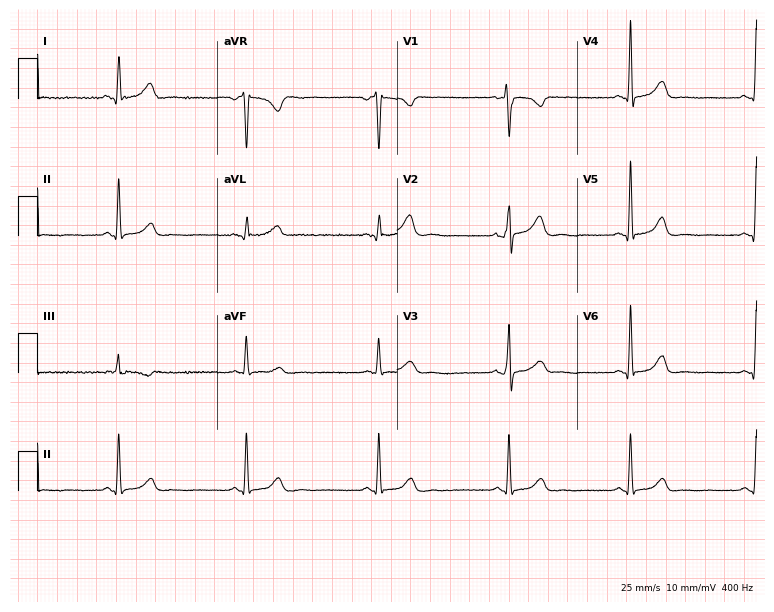
12-lead ECG from a 48-year-old female patient. No first-degree AV block, right bundle branch block, left bundle branch block, sinus bradycardia, atrial fibrillation or sinus tachycardia recorded for this tracing.